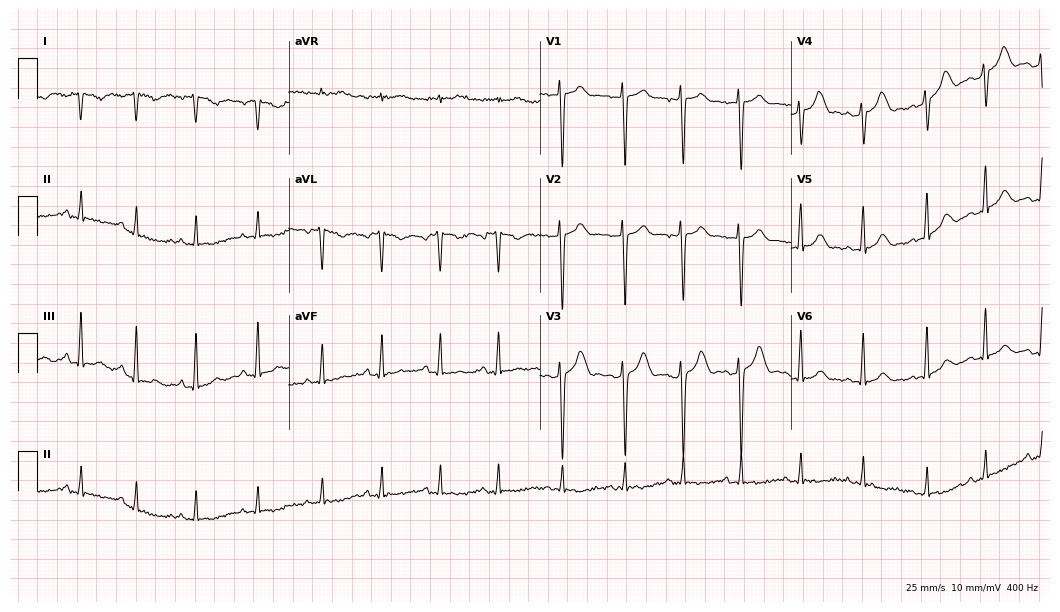
Standard 12-lead ECG recorded from a 22-year-old female (10.2-second recording at 400 Hz). None of these six findings is recorded: first-degree AV block, right bundle branch block, left bundle branch block, sinus bradycardia, atrial fibrillation, sinus tachycardia. Only these six findings were labelled.